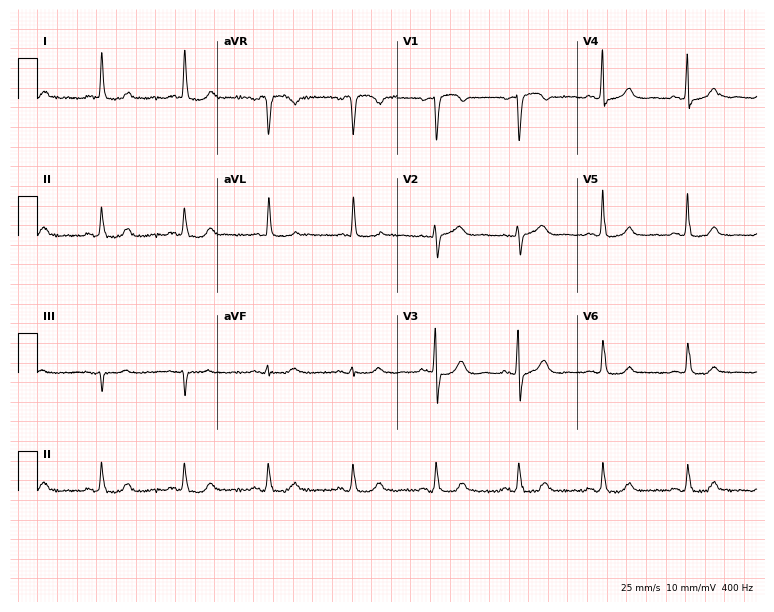
Resting 12-lead electrocardiogram (7.3-second recording at 400 Hz). Patient: a female, 69 years old. Read as a normal ECG.